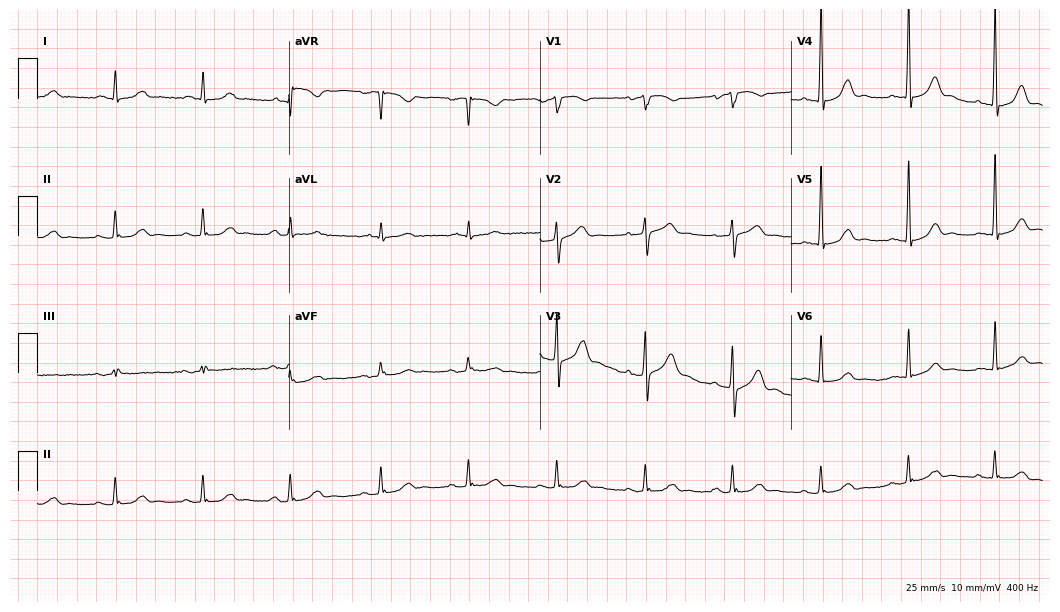
Standard 12-lead ECG recorded from an 82-year-old male patient. Read as a normal ECG.